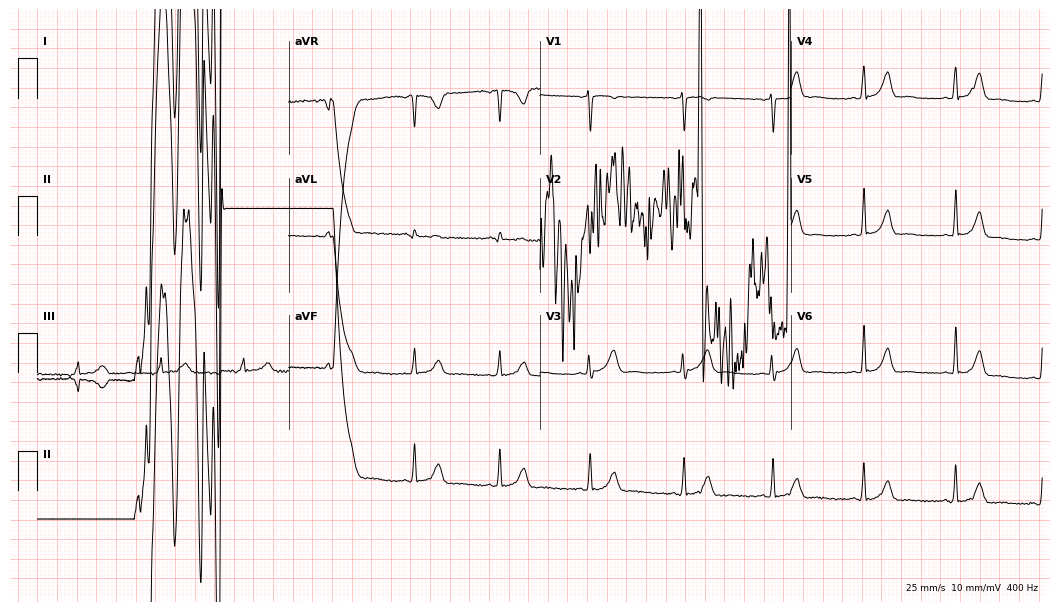
Resting 12-lead electrocardiogram. Patient: a 26-year-old woman. None of these six findings is recorded: first-degree AV block, right bundle branch block (RBBB), left bundle branch block (LBBB), sinus bradycardia, atrial fibrillation (AF), sinus tachycardia. Findings outside these six are not listed.